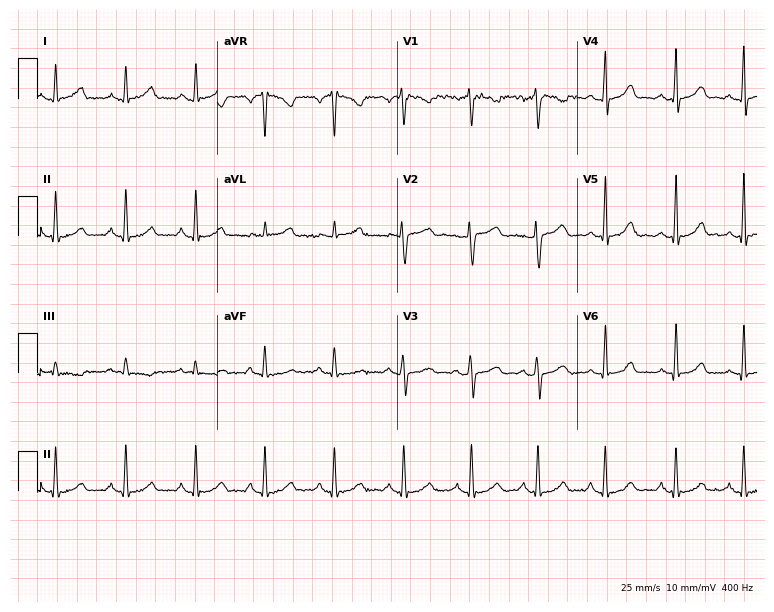
ECG — a 48-year-old female patient. Labelled as a normal ECG.